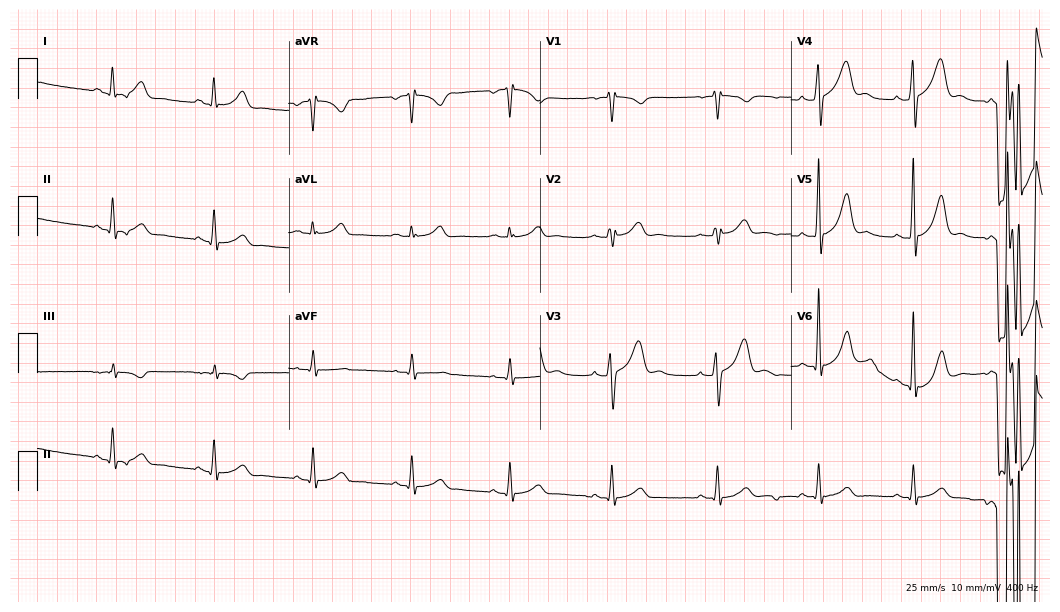
Standard 12-lead ECG recorded from a woman, 32 years old. Read as a normal ECG.